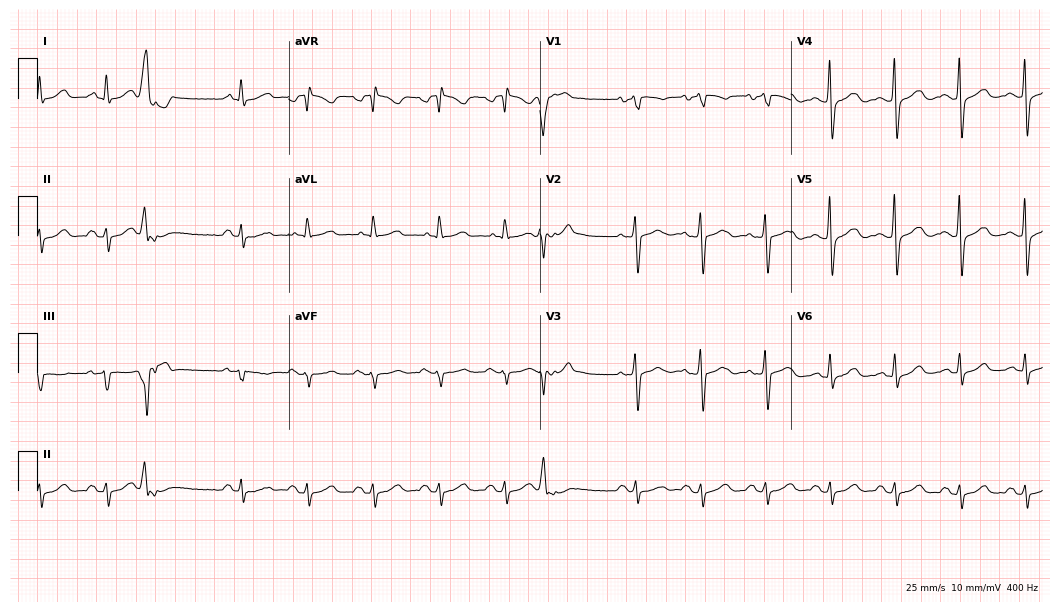
Electrocardiogram (10.2-second recording at 400 Hz), a 69-year-old man. Of the six screened findings (first-degree AV block, right bundle branch block, left bundle branch block, sinus bradycardia, atrial fibrillation, sinus tachycardia), none is recorded. Findings outside these six are not listed.